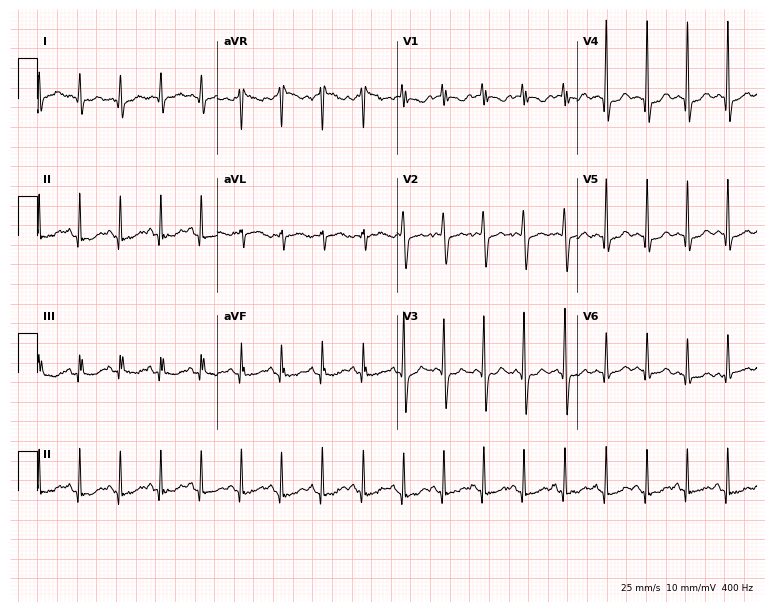
Resting 12-lead electrocardiogram. Patient: a woman, 18 years old. The tracing shows sinus tachycardia (a sinus rate of 100 beats per minute or more).